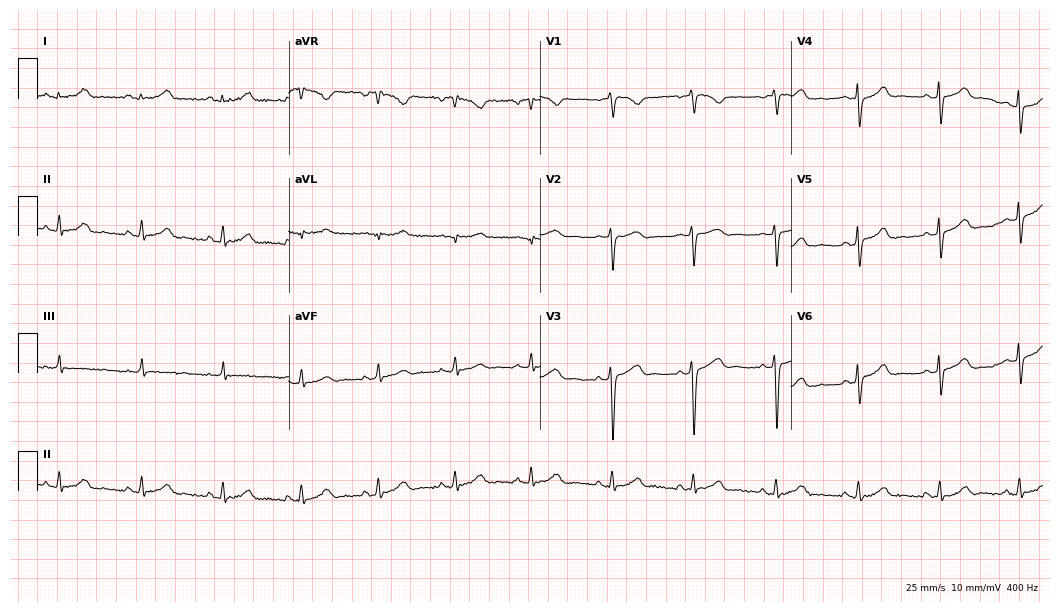
Resting 12-lead electrocardiogram (10.2-second recording at 400 Hz). Patient: a 37-year-old woman. None of these six findings is recorded: first-degree AV block, right bundle branch block, left bundle branch block, sinus bradycardia, atrial fibrillation, sinus tachycardia.